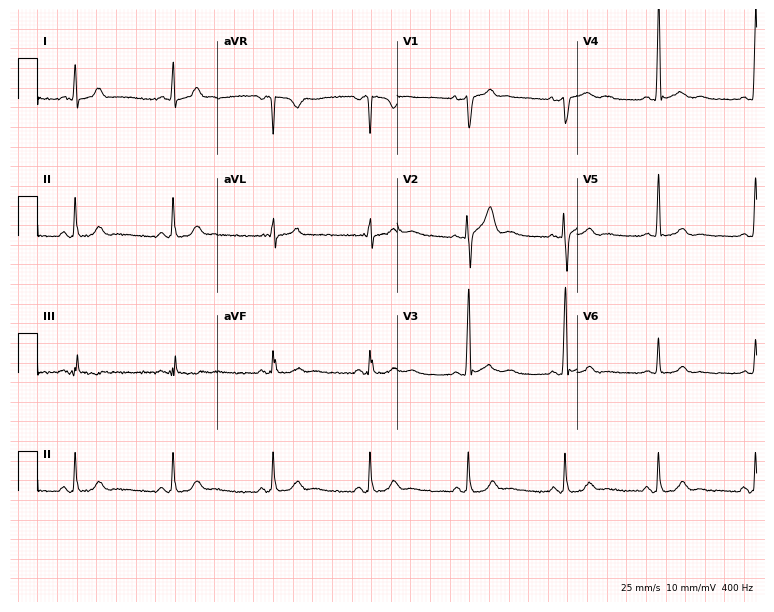
Resting 12-lead electrocardiogram. Patient: a 34-year-old male. Read as a normal ECG.